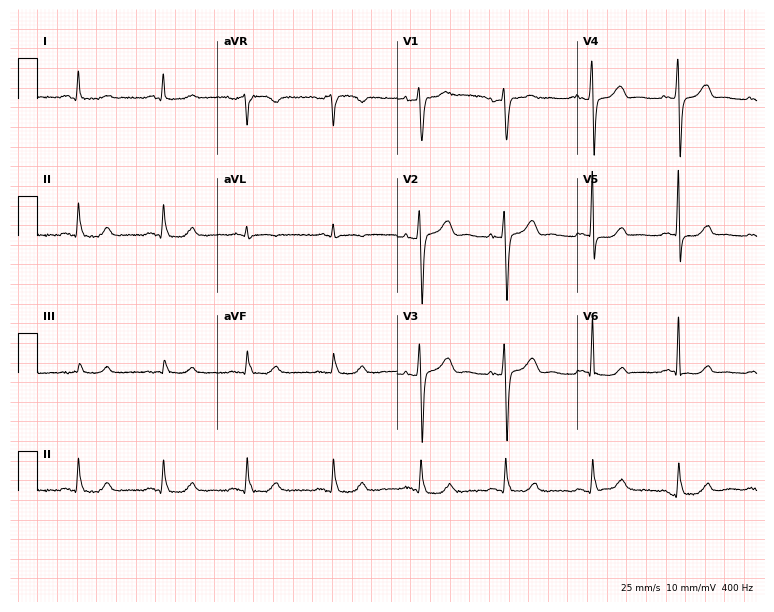
12-lead ECG (7.3-second recording at 400 Hz) from a female patient, 42 years old. Screened for six findings — first-degree AV block, right bundle branch block, left bundle branch block, sinus bradycardia, atrial fibrillation, sinus tachycardia — none is recorded.